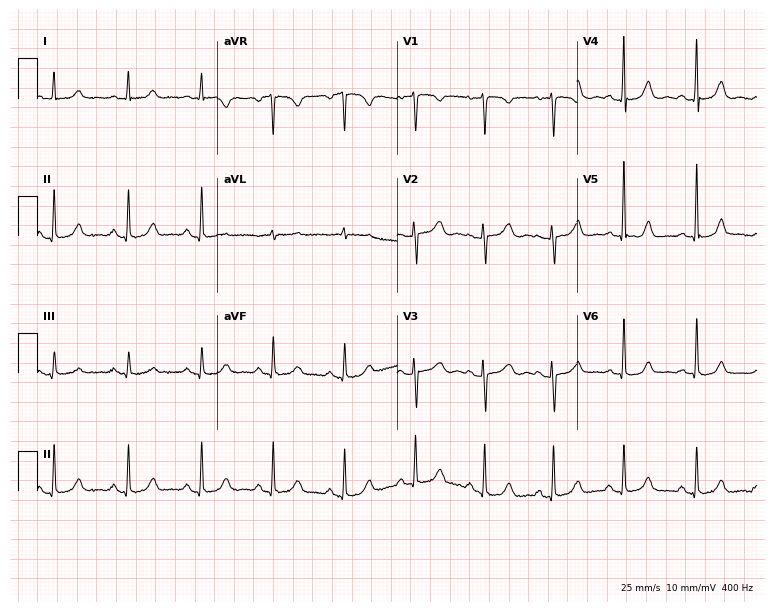
12-lead ECG from a female patient, 47 years old. Screened for six findings — first-degree AV block, right bundle branch block, left bundle branch block, sinus bradycardia, atrial fibrillation, sinus tachycardia — none is recorded. Only these six findings were labelled.